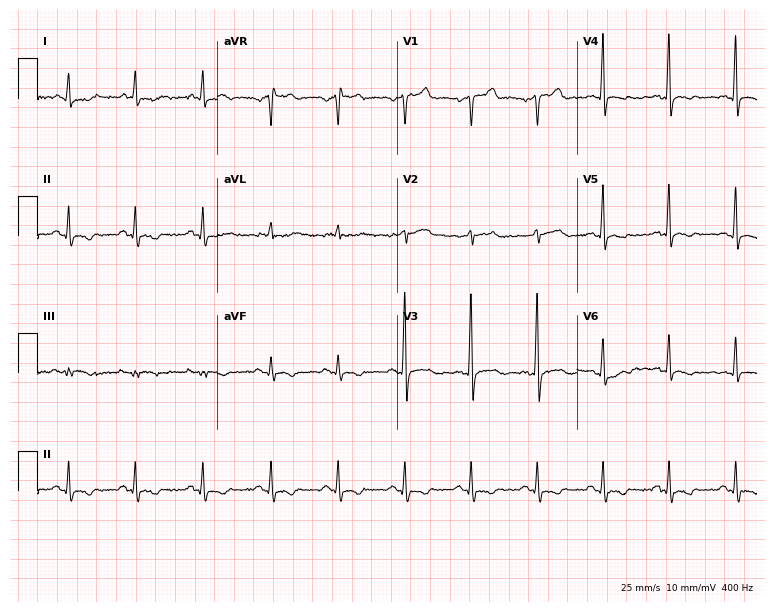
ECG (7.3-second recording at 400 Hz) — a 51-year-old male patient. Screened for six findings — first-degree AV block, right bundle branch block, left bundle branch block, sinus bradycardia, atrial fibrillation, sinus tachycardia — none is recorded. Findings outside these six are not listed.